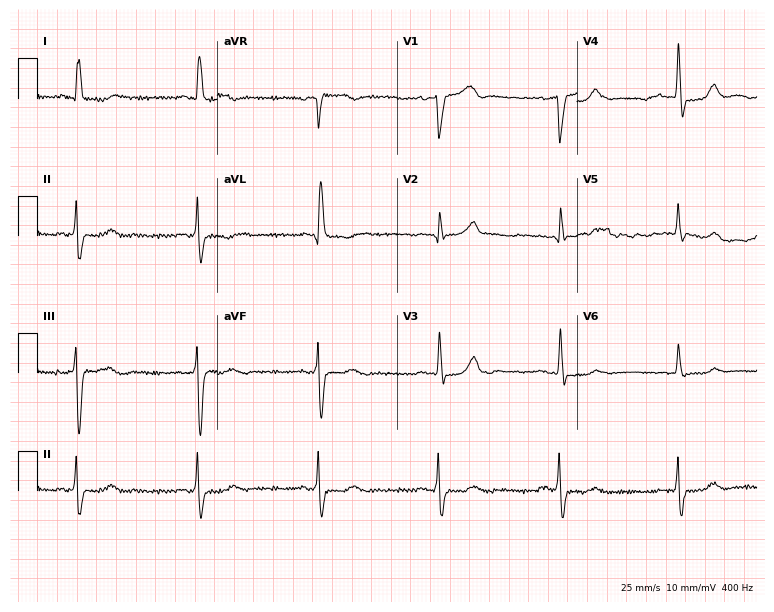
12-lead ECG (7.3-second recording at 400 Hz) from a female, 73 years old. Screened for six findings — first-degree AV block, right bundle branch block, left bundle branch block, sinus bradycardia, atrial fibrillation, sinus tachycardia — none is recorded.